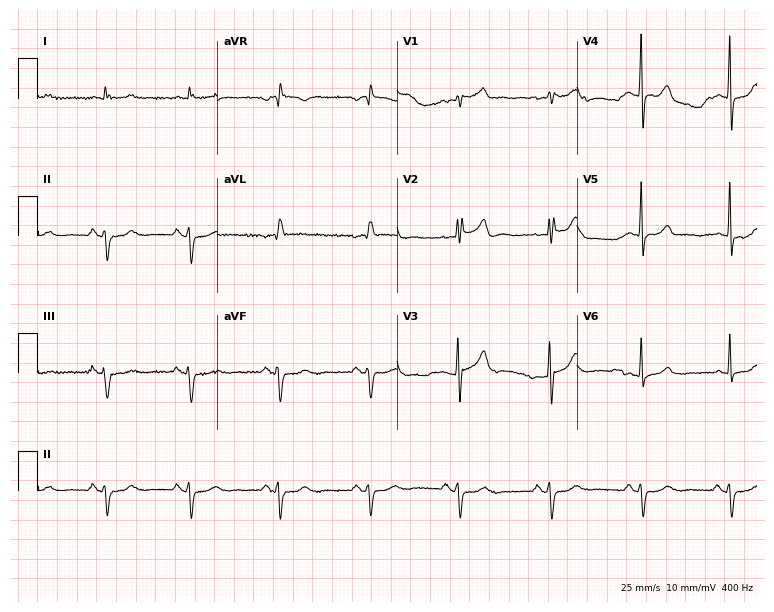
Resting 12-lead electrocardiogram (7.3-second recording at 400 Hz). Patient: a man, 69 years old. None of these six findings is recorded: first-degree AV block, right bundle branch block, left bundle branch block, sinus bradycardia, atrial fibrillation, sinus tachycardia. Findings outside these six are not listed.